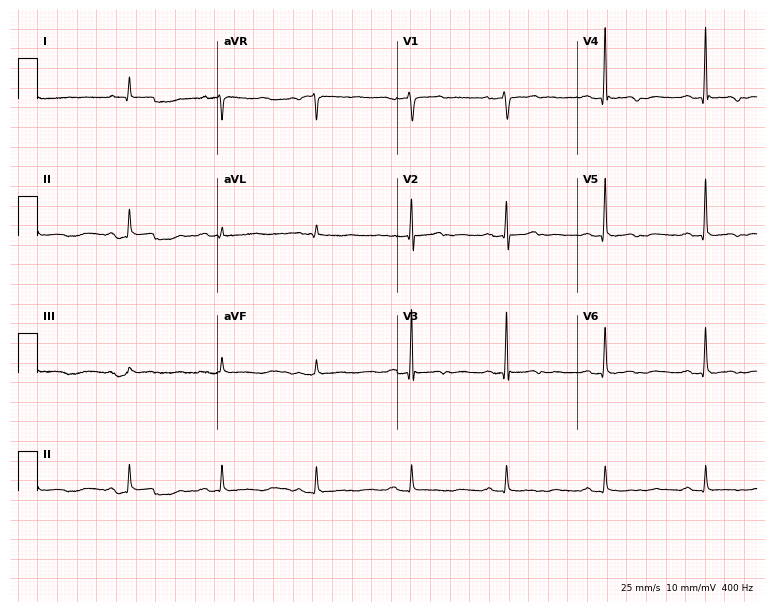
Resting 12-lead electrocardiogram (7.3-second recording at 400 Hz). Patient: a male, 67 years old. None of these six findings is recorded: first-degree AV block, right bundle branch block, left bundle branch block, sinus bradycardia, atrial fibrillation, sinus tachycardia. Only these six findings were labelled.